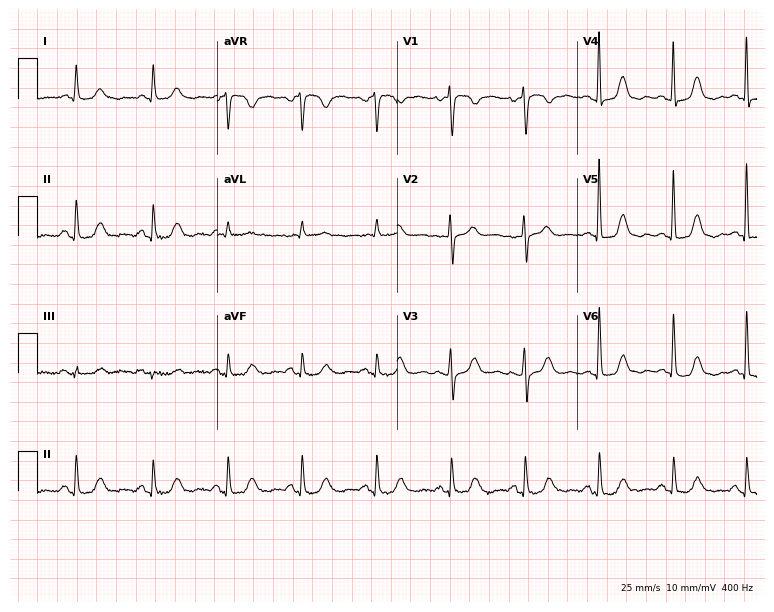
12-lead ECG from a female patient, 74 years old (7.3-second recording at 400 Hz). Recorded interpretation: within normal limits.